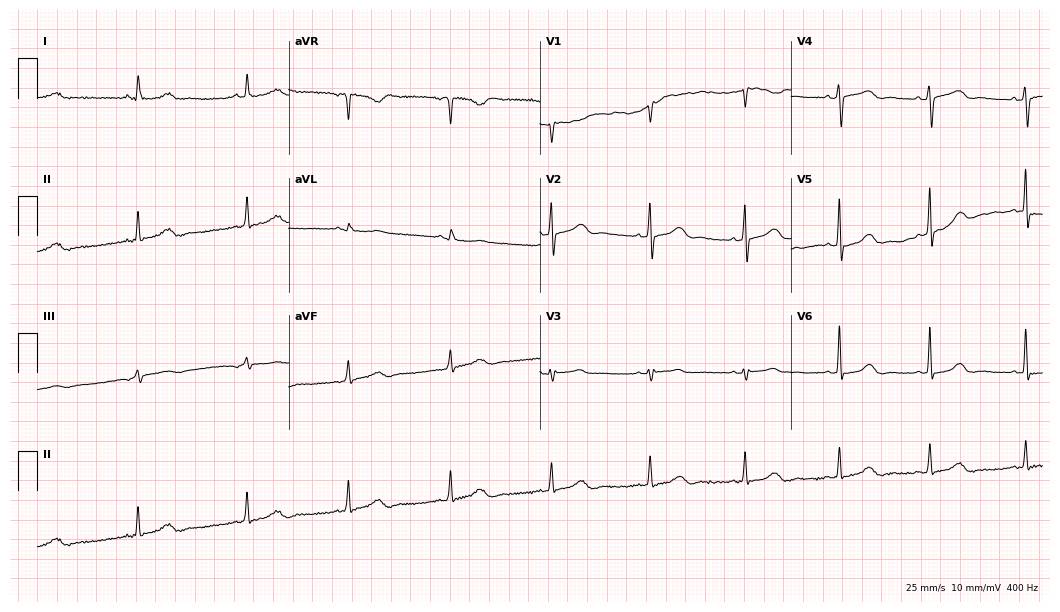
Electrocardiogram (10.2-second recording at 400 Hz), a female, 56 years old. Of the six screened findings (first-degree AV block, right bundle branch block (RBBB), left bundle branch block (LBBB), sinus bradycardia, atrial fibrillation (AF), sinus tachycardia), none is recorded. Other findings, if any, are not listed.